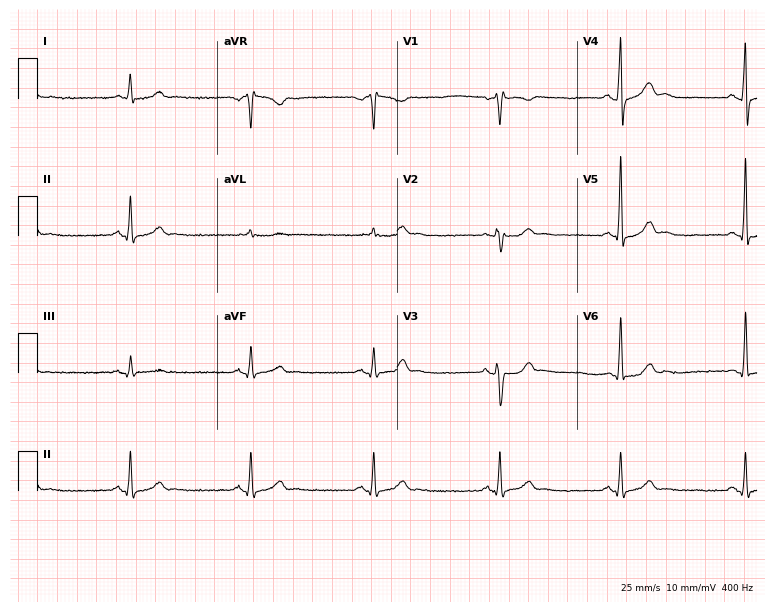
ECG (7.3-second recording at 400 Hz) — a 45-year-old male. Screened for six findings — first-degree AV block, right bundle branch block, left bundle branch block, sinus bradycardia, atrial fibrillation, sinus tachycardia — none is recorded.